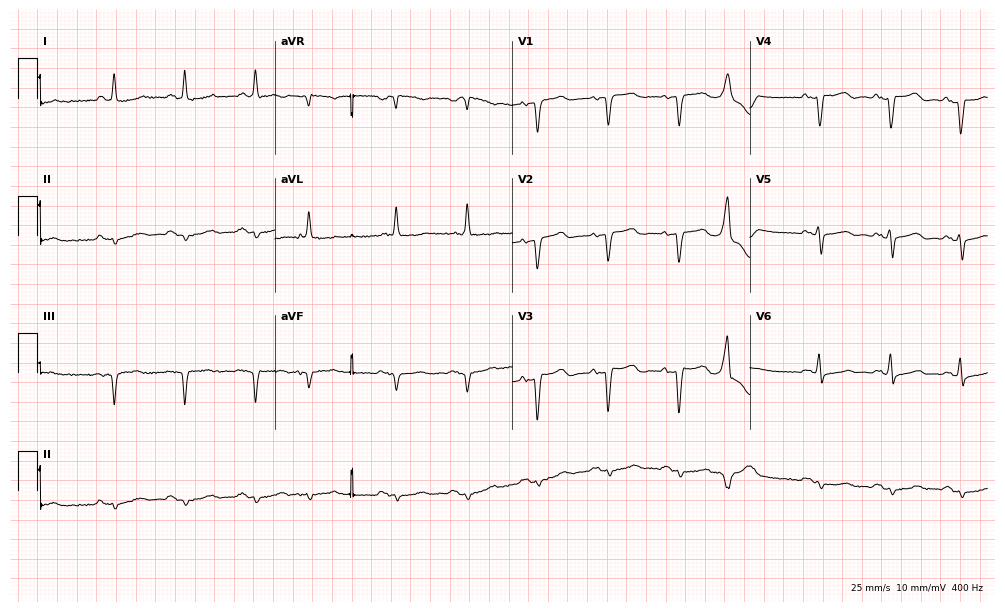
Standard 12-lead ECG recorded from a 74-year-old woman (9.7-second recording at 400 Hz). None of these six findings is recorded: first-degree AV block, right bundle branch block, left bundle branch block, sinus bradycardia, atrial fibrillation, sinus tachycardia.